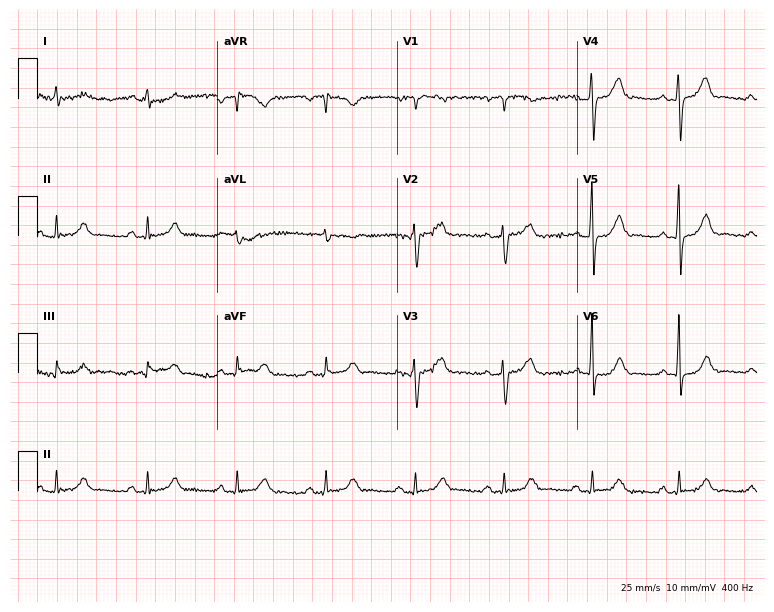
Electrocardiogram (7.3-second recording at 400 Hz), a 65-year-old male. Overall reading on record: normal ECG.